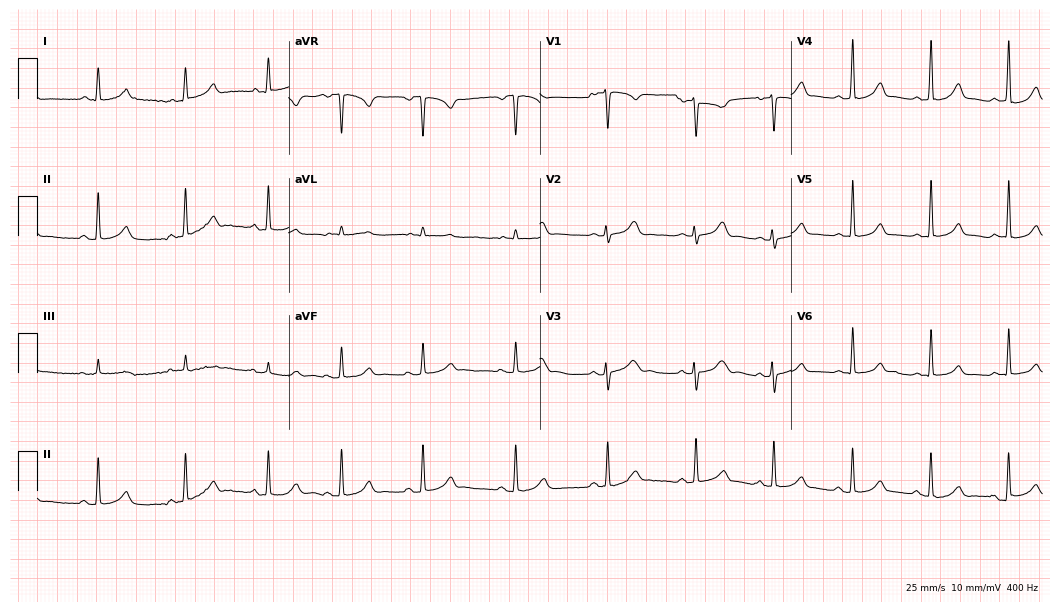
Standard 12-lead ECG recorded from a female, 21 years old. Read as a normal ECG.